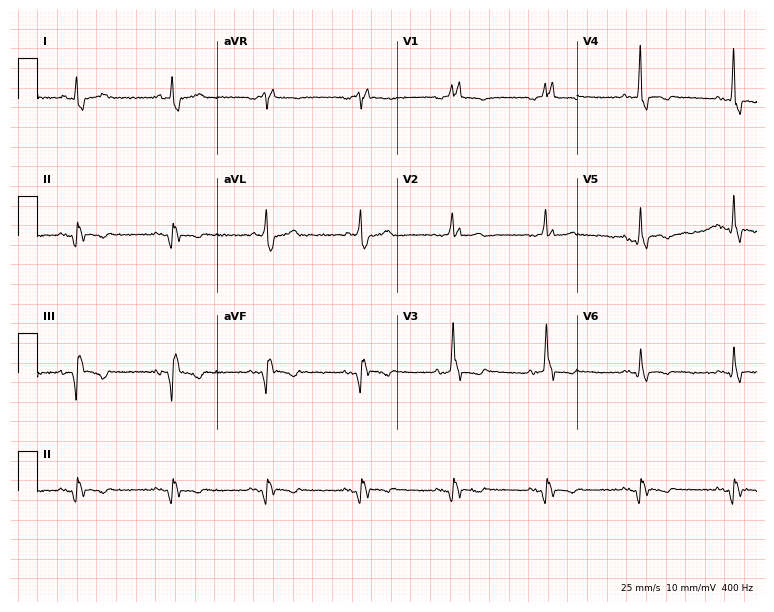
Electrocardiogram, a 71-year-old man. Interpretation includes right bundle branch block.